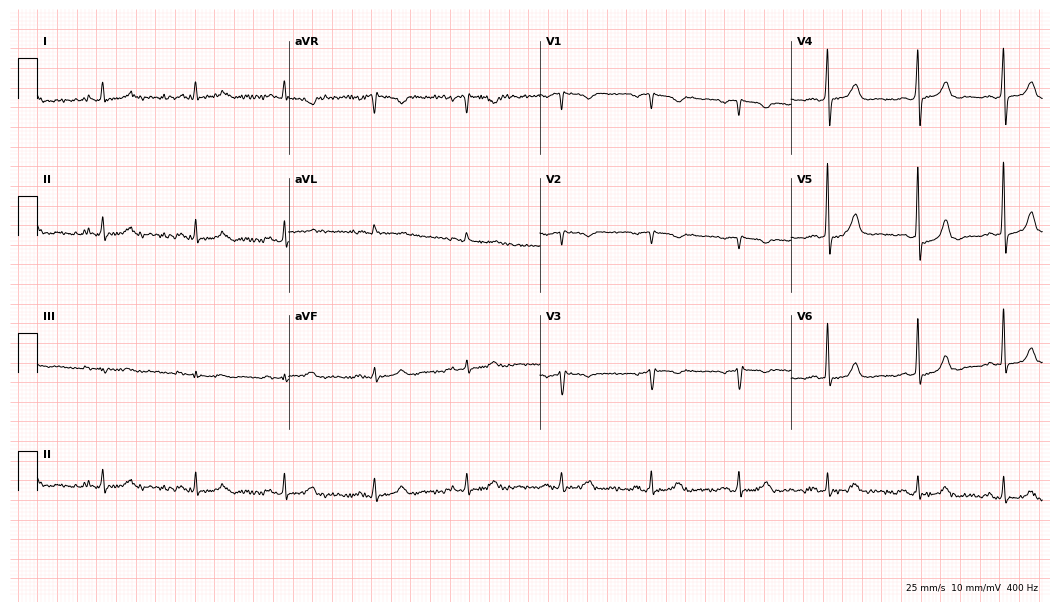
Resting 12-lead electrocardiogram. Patient: a 60-year-old female. None of these six findings is recorded: first-degree AV block, right bundle branch block, left bundle branch block, sinus bradycardia, atrial fibrillation, sinus tachycardia.